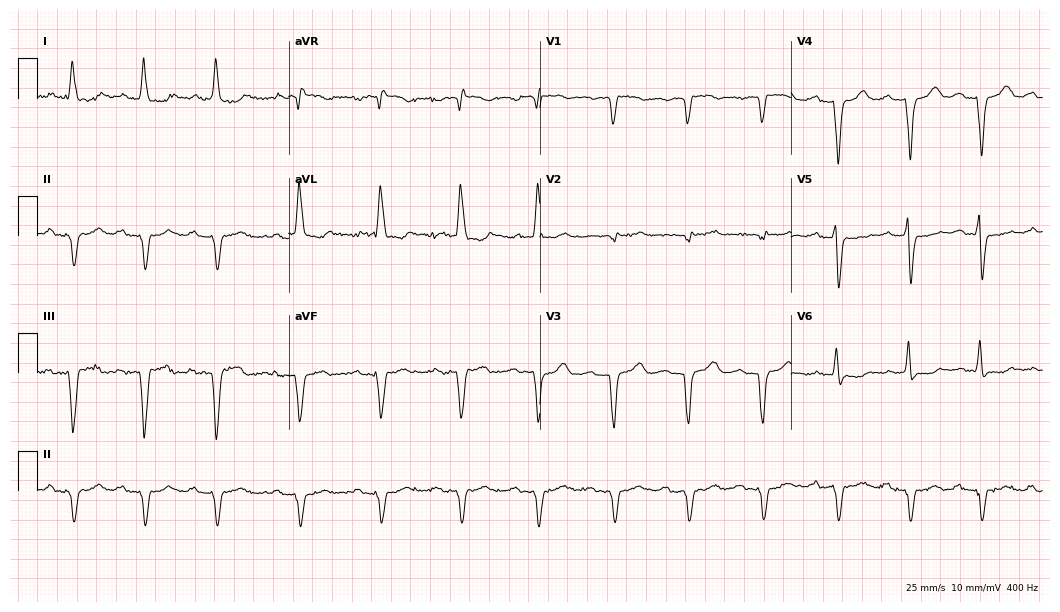
12-lead ECG (10.2-second recording at 400 Hz) from a 77-year-old woman. Screened for six findings — first-degree AV block, right bundle branch block, left bundle branch block, sinus bradycardia, atrial fibrillation, sinus tachycardia — none is recorded. Other findings, if any, are not listed.